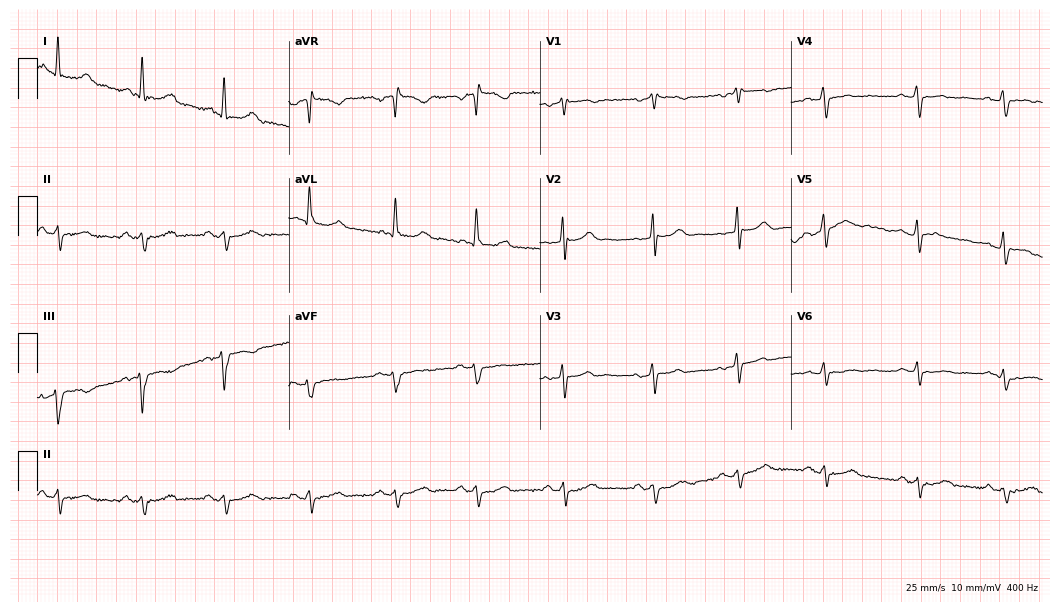
ECG — a female, 45 years old. Screened for six findings — first-degree AV block, right bundle branch block, left bundle branch block, sinus bradycardia, atrial fibrillation, sinus tachycardia — none is recorded.